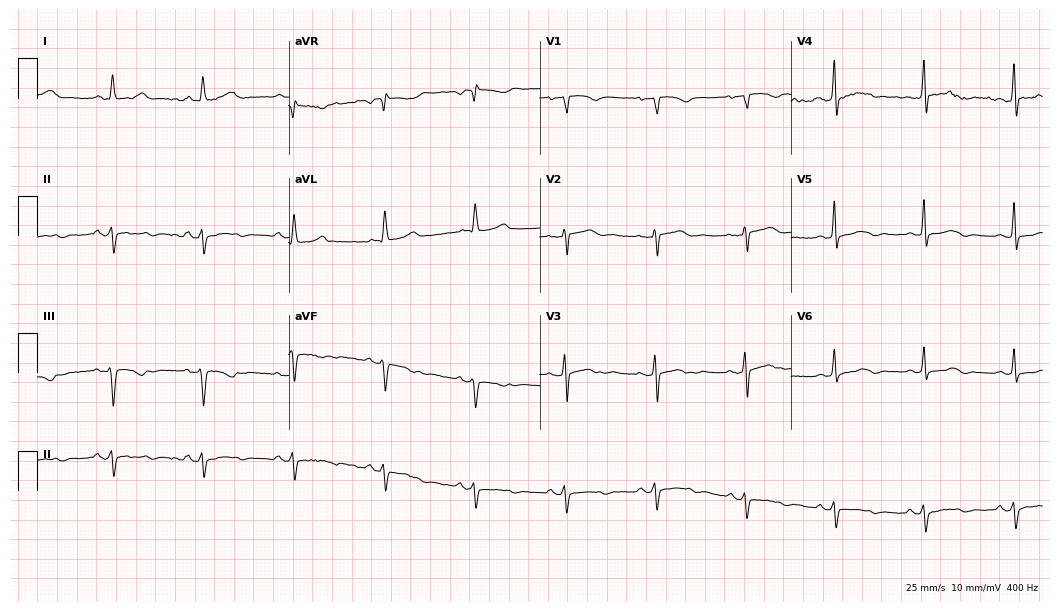
Standard 12-lead ECG recorded from a female patient, 79 years old. None of these six findings is recorded: first-degree AV block, right bundle branch block, left bundle branch block, sinus bradycardia, atrial fibrillation, sinus tachycardia. Other findings, if any, are not listed.